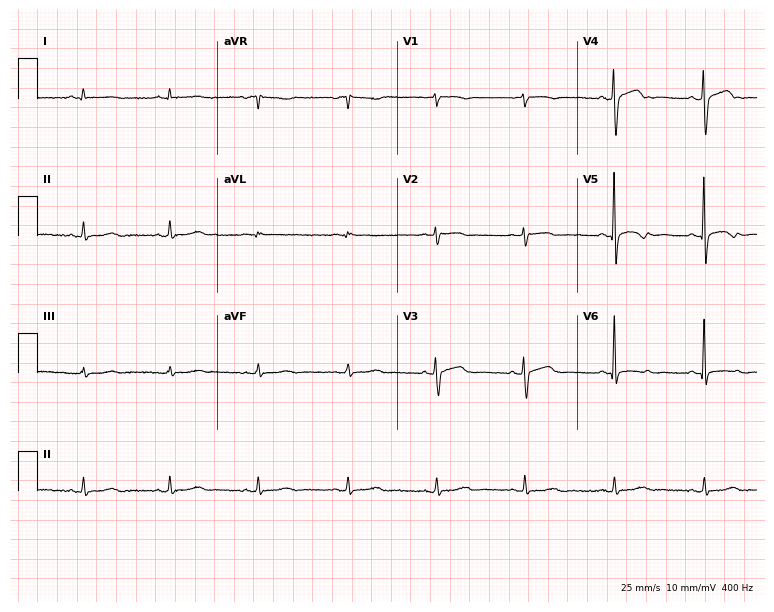
12-lead ECG from a 59-year-old woman. No first-degree AV block, right bundle branch block (RBBB), left bundle branch block (LBBB), sinus bradycardia, atrial fibrillation (AF) or sinus tachycardia recorded for this tracing. Only these six findings were labelled.